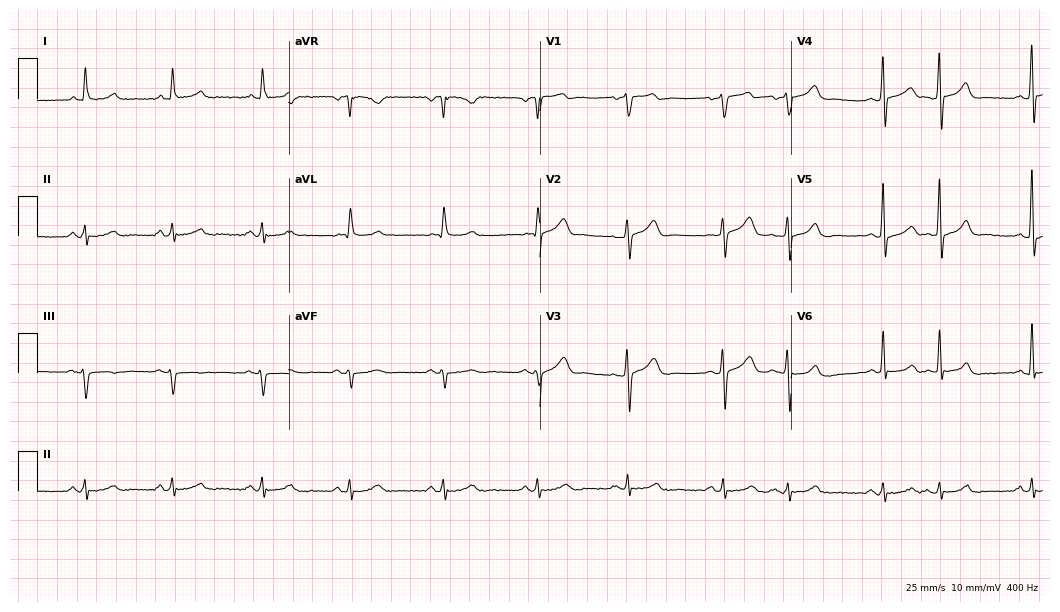
12-lead ECG from a man, 68 years old. Recorded interpretation: within normal limits.